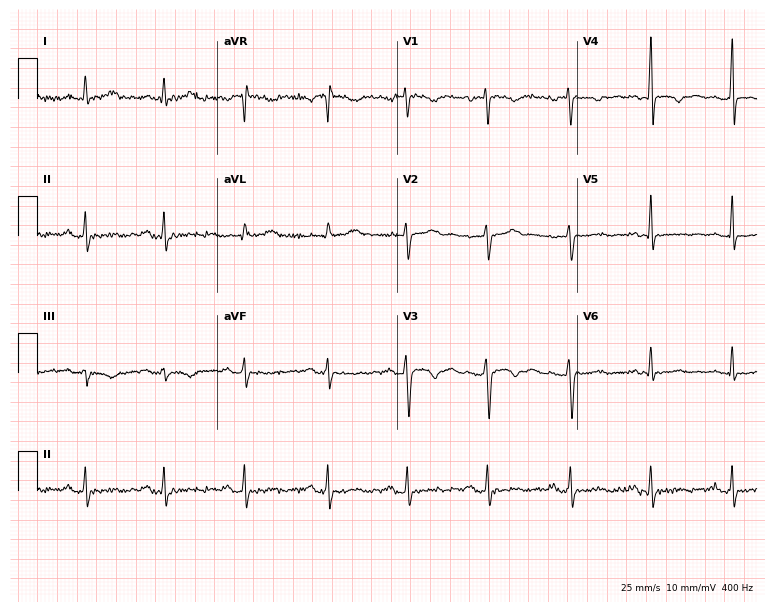
12-lead ECG from a woman, 48 years old (7.3-second recording at 400 Hz). No first-degree AV block, right bundle branch block, left bundle branch block, sinus bradycardia, atrial fibrillation or sinus tachycardia recorded for this tracing.